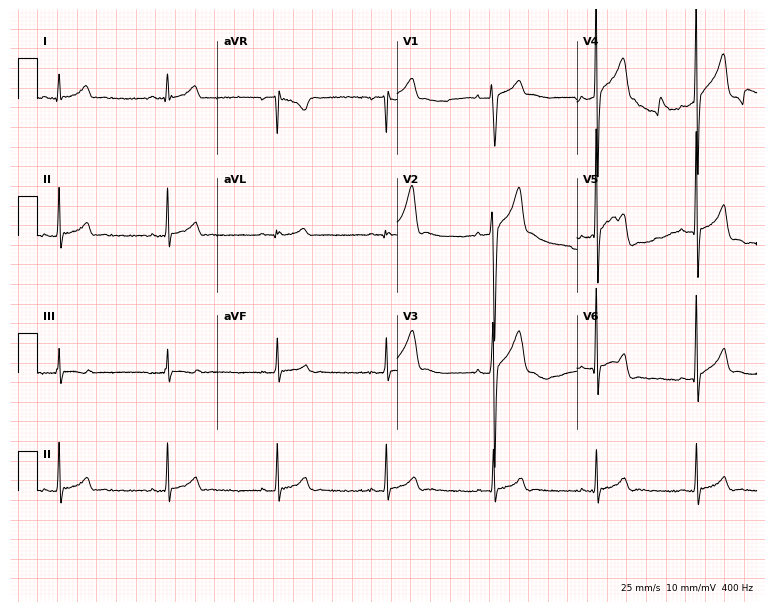
12-lead ECG from a male, 20 years old. Recorded interpretation: within normal limits.